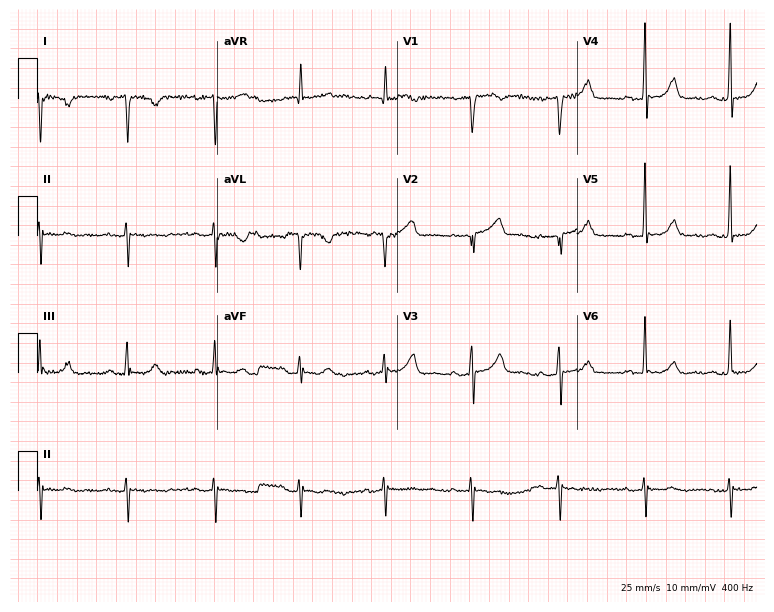
12-lead ECG from a 70-year-old woman. Screened for six findings — first-degree AV block, right bundle branch block (RBBB), left bundle branch block (LBBB), sinus bradycardia, atrial fibrillation (AF), sinus tachycardia — none is recorded.